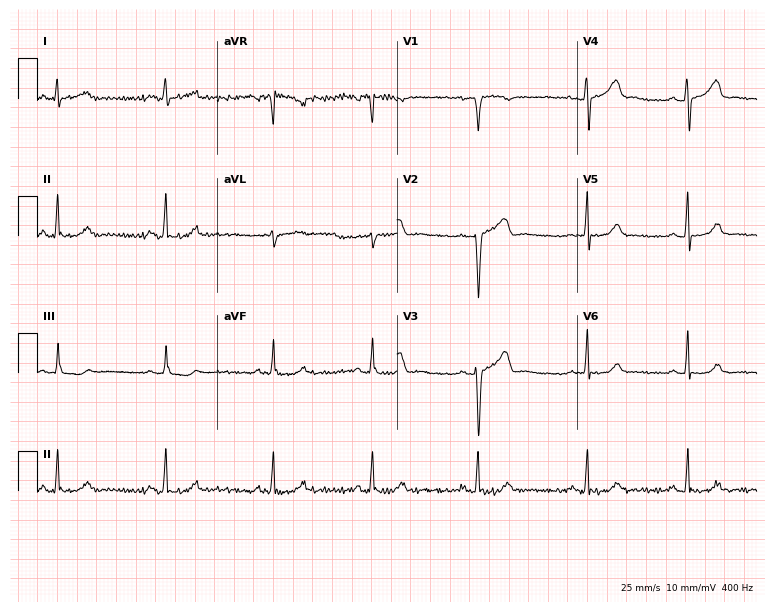
12-lead ECG from a 28-year-old female patient. Recorded interpretation: within normal limits.